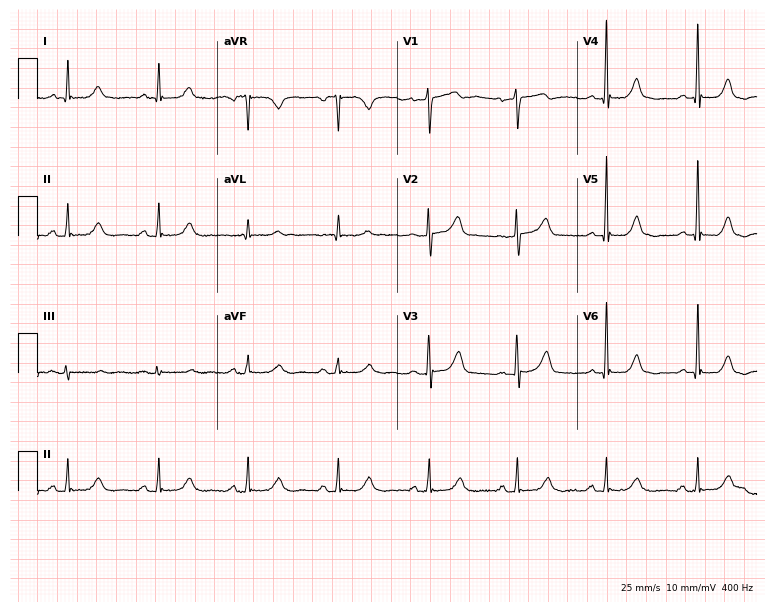
Standard 12-lead ECG recorded from a female patient, 66 years old. Read as a normal ECG.